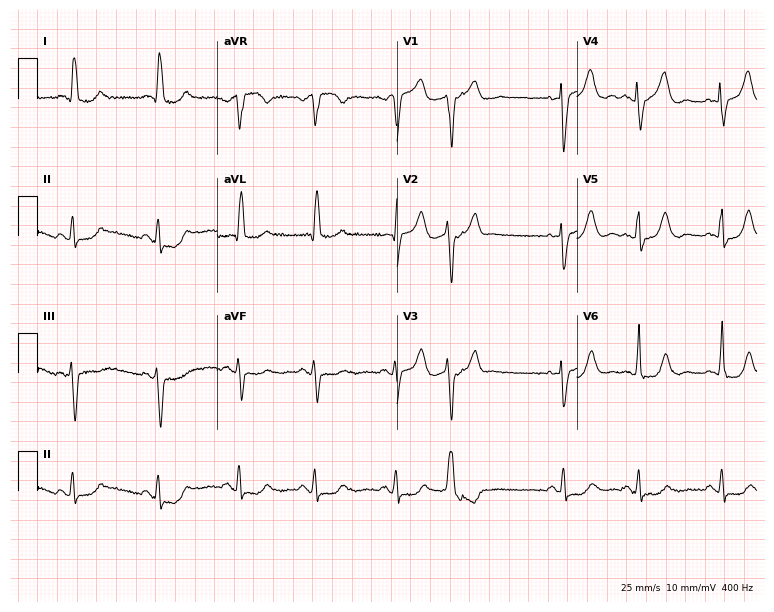
Electrocardiogram, a woman, 82 years old. Overall reading on record: normal ECG.